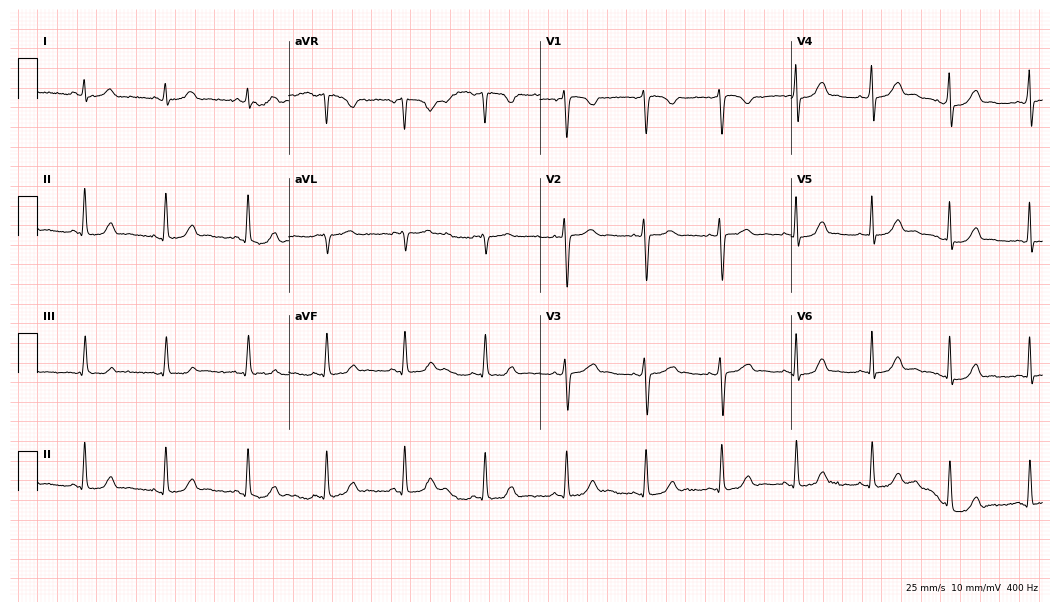
Resting 12-lead electrocardiogram (10.2-second recording at 400 Hz). Patient: a 28-year-old woman. Read as a normal ECG.